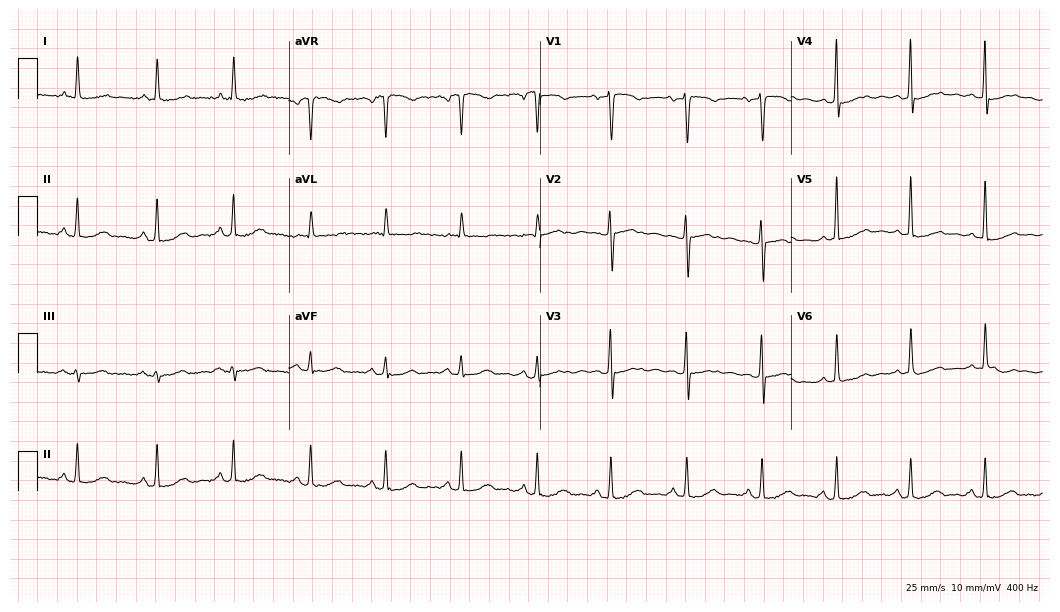
12-lead ECG from a 56-year-old female. No first-degree AV block, right bundle branch block, left bundle branch block, sinus bradycardia, atrial fibrillation or sinus tachycardia recorded for this tracing. Only these six findings were labelled.